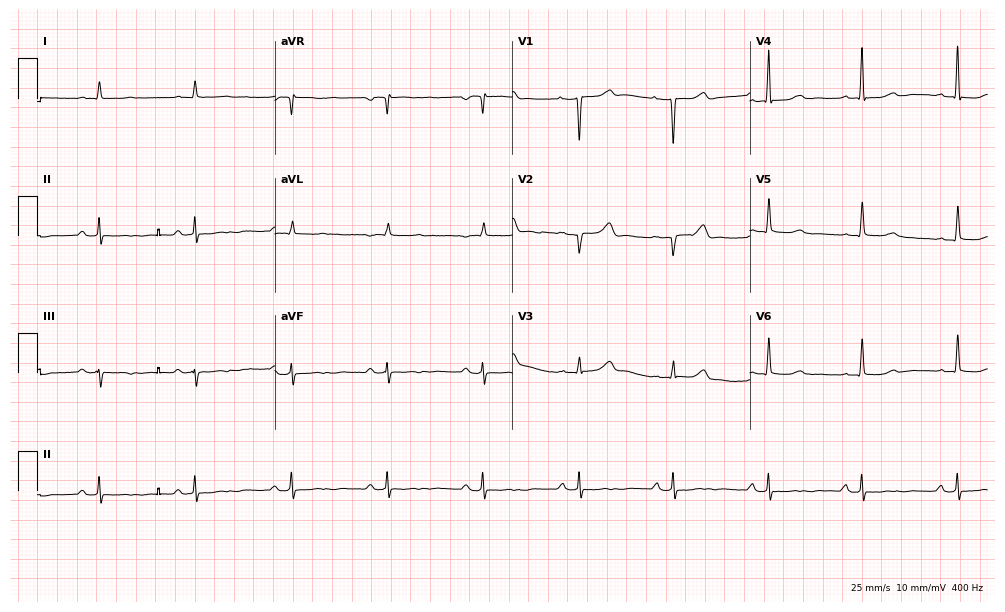
ECG — an 84-year-old female patient. Screened for six findings — first-degree AV block, right bundle branch block (RBBB), left bundle branch block (LBBB), sinus bradycardia, atrial fibrillation (AF), sinus tachycardia — none is recorded.